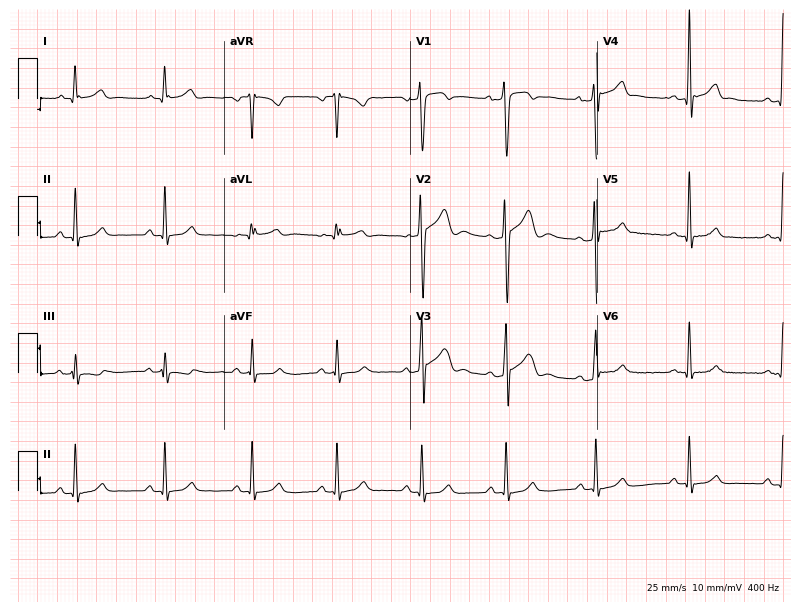
12-lead ECG (7.6-second recording at 400 Hz) from a man, 32 years old. Screened for six findings — first-degree AV block, right bundle branch block, left bundle branch block, sinus bradycardia, atrial fibrillation, sinus tachycardia — none is recorded.